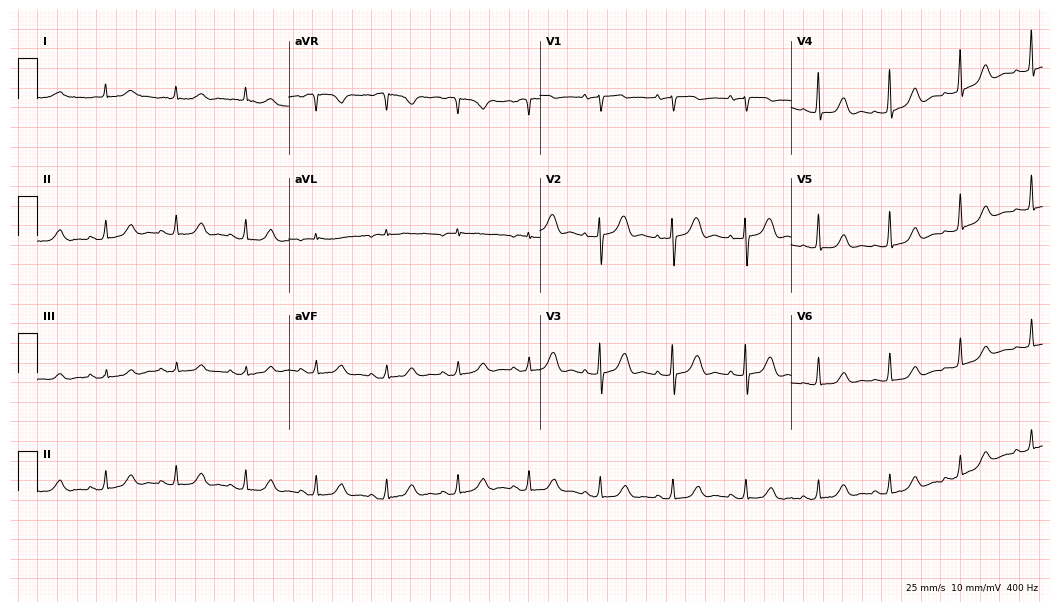
Electrocardiogram (10.2-second recording at 400 Hz), an 84-year-old female. Of the six screened findings (first-degree AV block, right bundle branch block, left bundle branch block, sinus bradycardia, atrial fibrillation, sinus tachycardia), none is recorded.